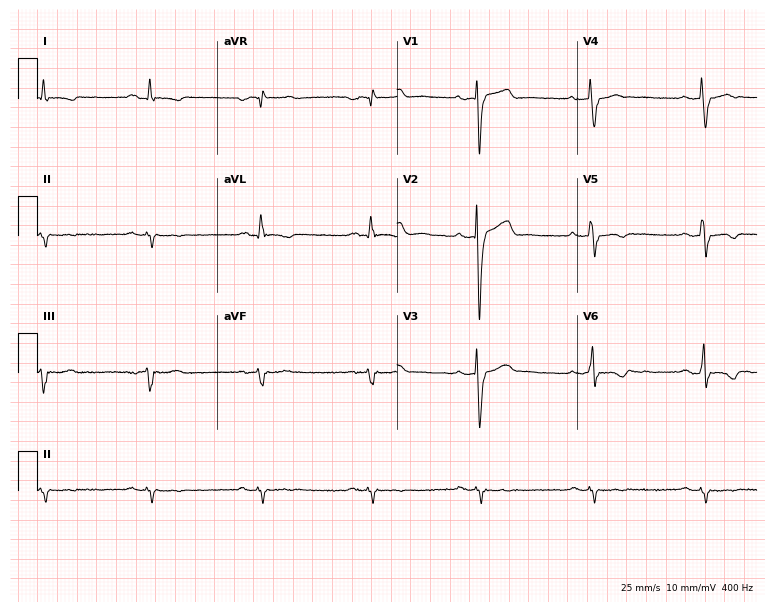
Resting 12-lead electrocardiogram (7.3-second recording at 400 Hz). Patient: a 41-year-old male. None of these six findings is recorded: first-degree AV block, right bundle branch block, left bundle branch block, sinus bradycardia, atrial fibrillation, sinus tachycardia. Findings outside these six are not listed.